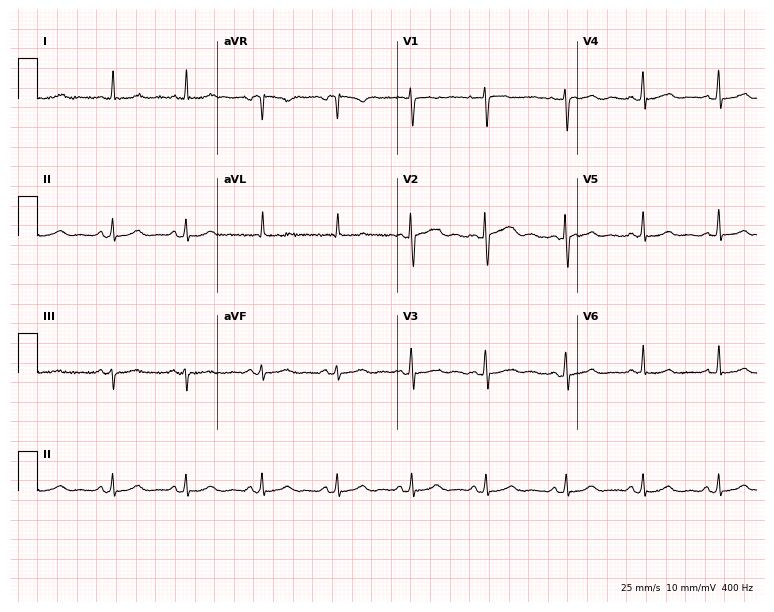
12-lead ECG (7.3-second recording at 400 Hz) from a female, 47 years old. Labelled as a normal ECG.